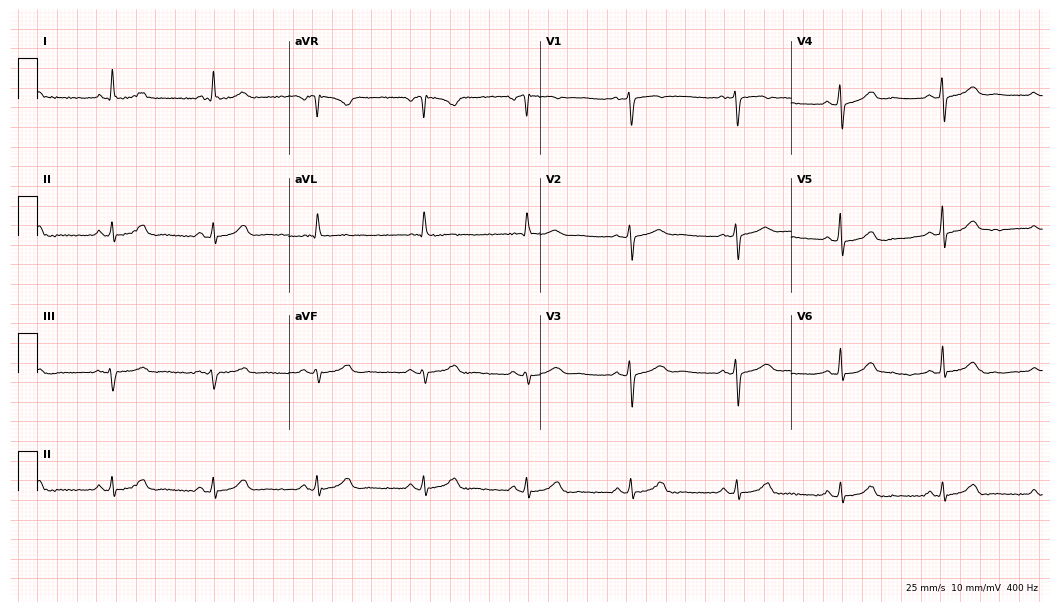
Electrocardiogram, a 79-year-old female. Overall reading on record: normal ECG.